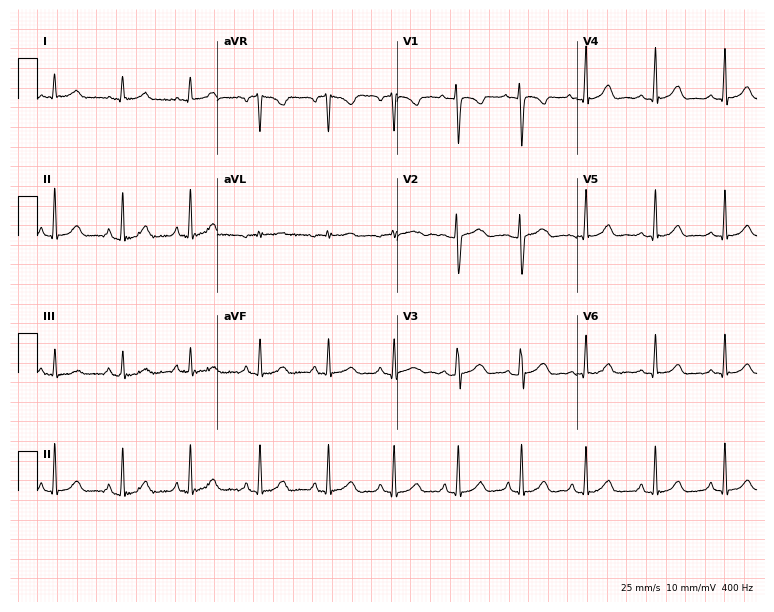
Standard 12-lead ECG recorded from a female, 21 years old. Read as a normal ECG.